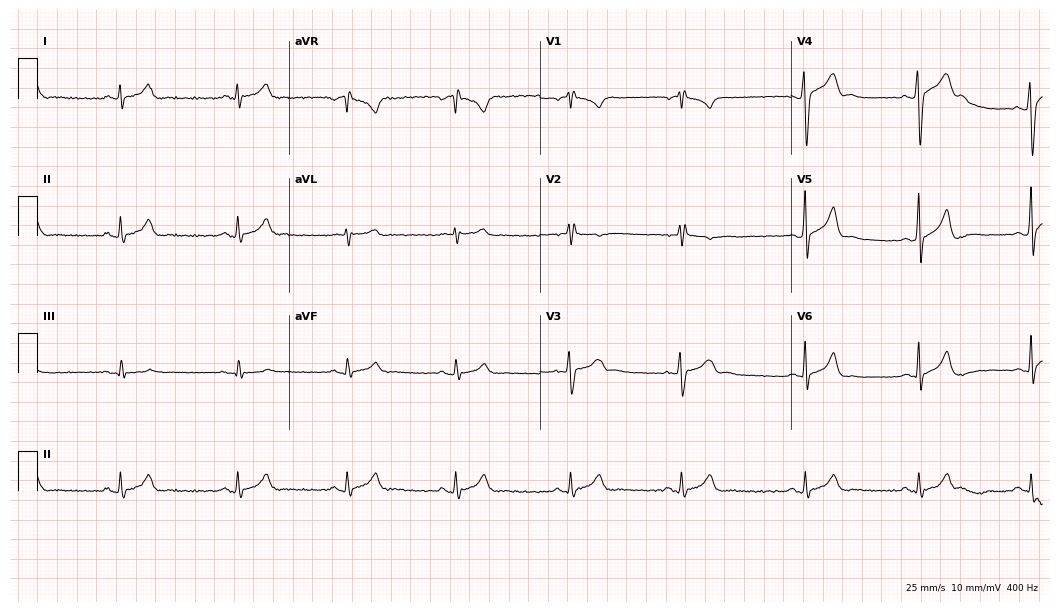
ECG — a 30-year-old male. Labelled as a normal ECG.